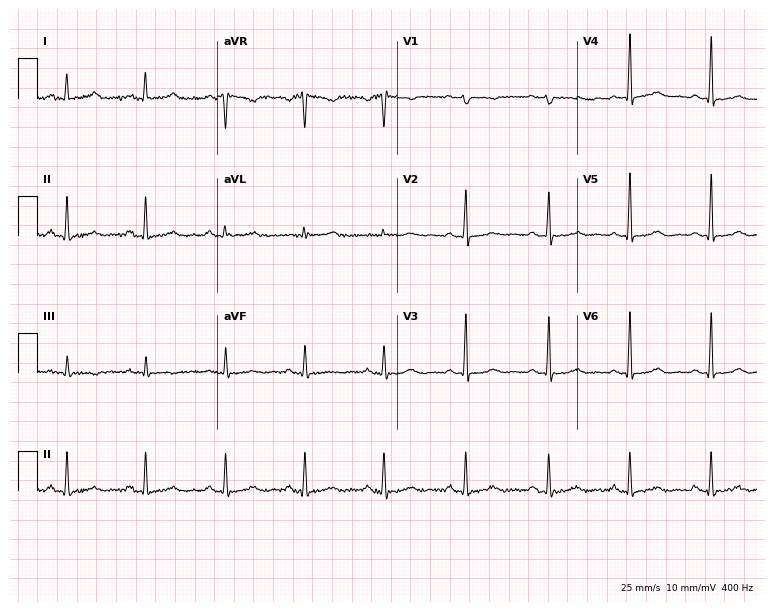
Electrocardiogram, a female patient, 44 years old. Overall reading on record: normal ECG.